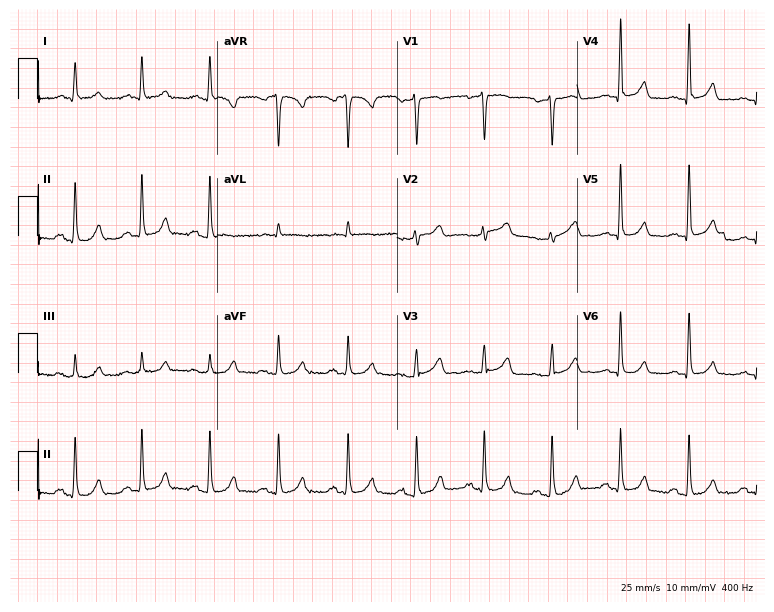
12-lead ECG from a female, 68 years old. Recorded interpretation: within normal limits.